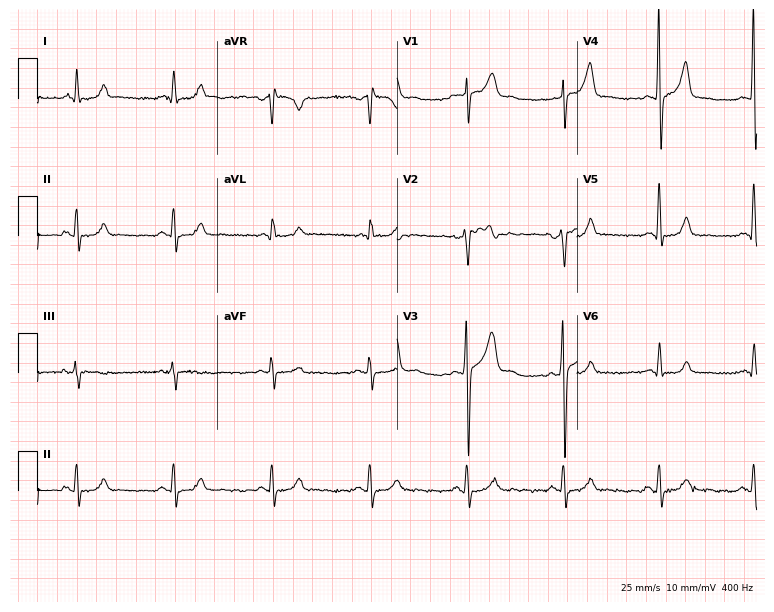
Electrocardiogram (7.3-second recording at 400 Hz), a 59-year-old male patient. Of the six screened findings (first-degree AV block, right bundle branch block, left bundle branch block, sinus bradycardia, atrial fibrillation, sinus tachycardia), none is recorded. Other findings, if any, are not listed.